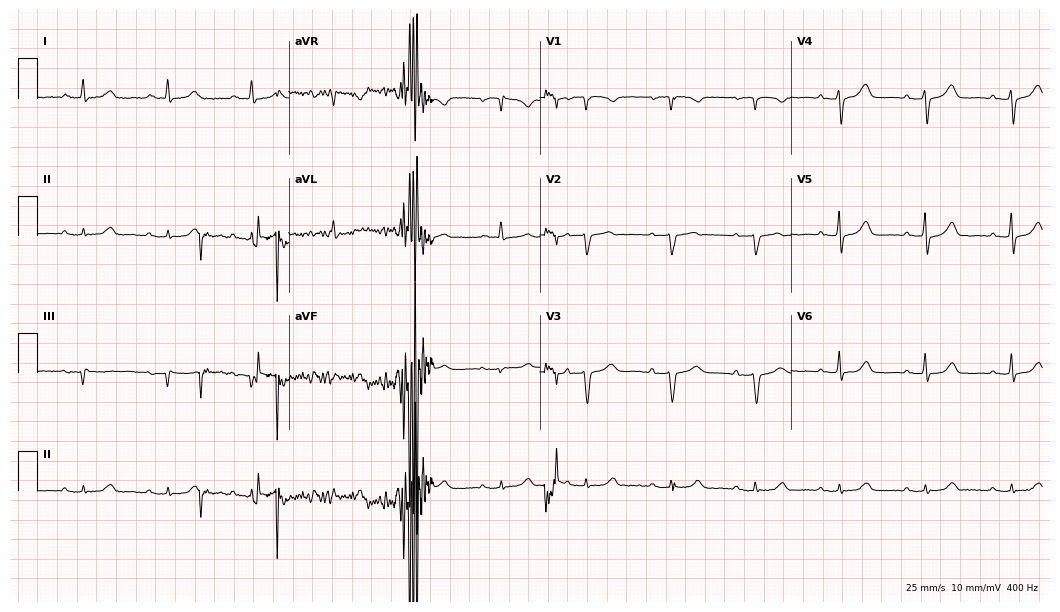
Electrocardiogram (10.2-second recording at 400 Hz), a man, 83 years old. Overall reading on record: normal ECG.